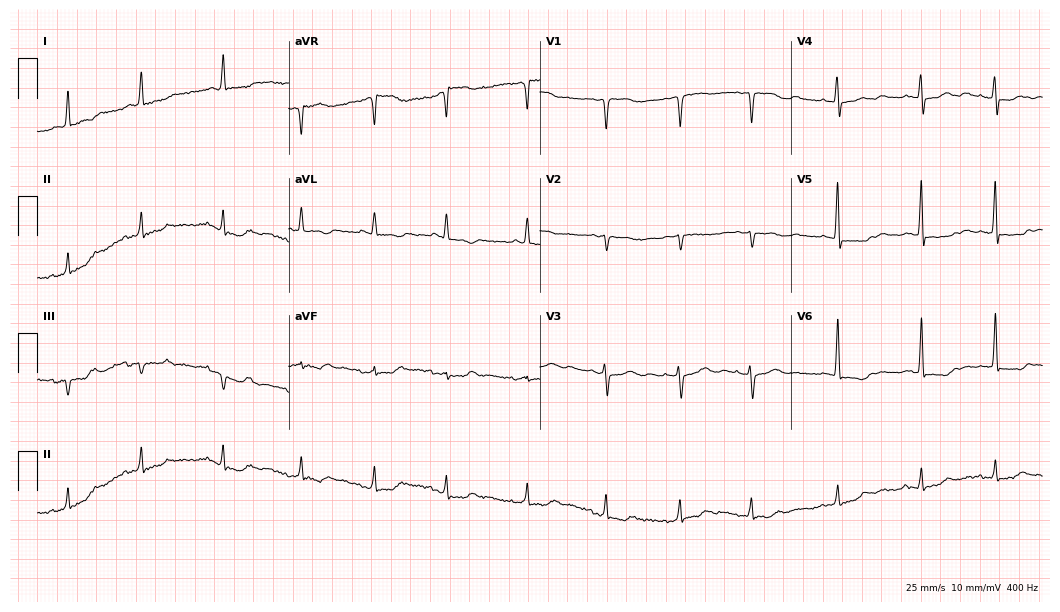
12-lead ECG from a female, 72 years old (10.2-second recording at 400 Hz). No first-degree AV block, right bundle branch block, left bundle branch block, sinus bradycardia, atrial fibrillation or sinus tachycardia recorded for this tracing.